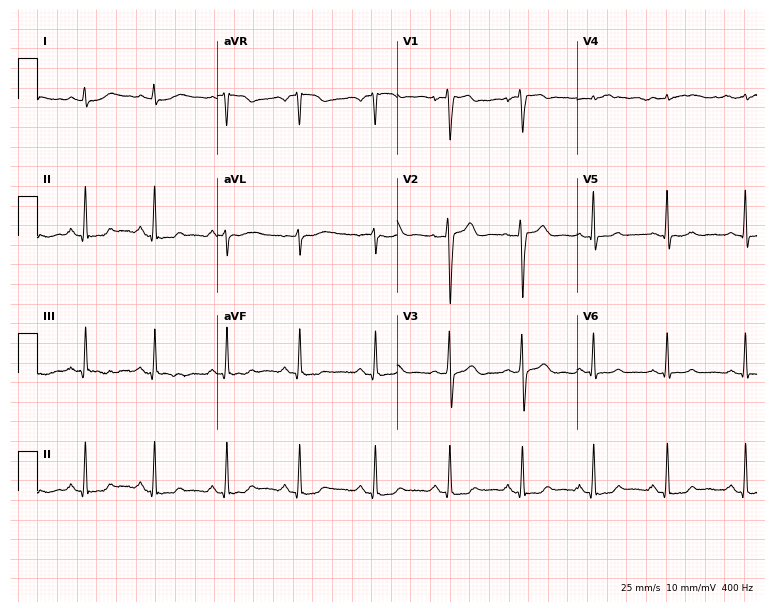
Standard 12-lead ECG recorded from a female patient, 22 years old. Read as a normal ECG.